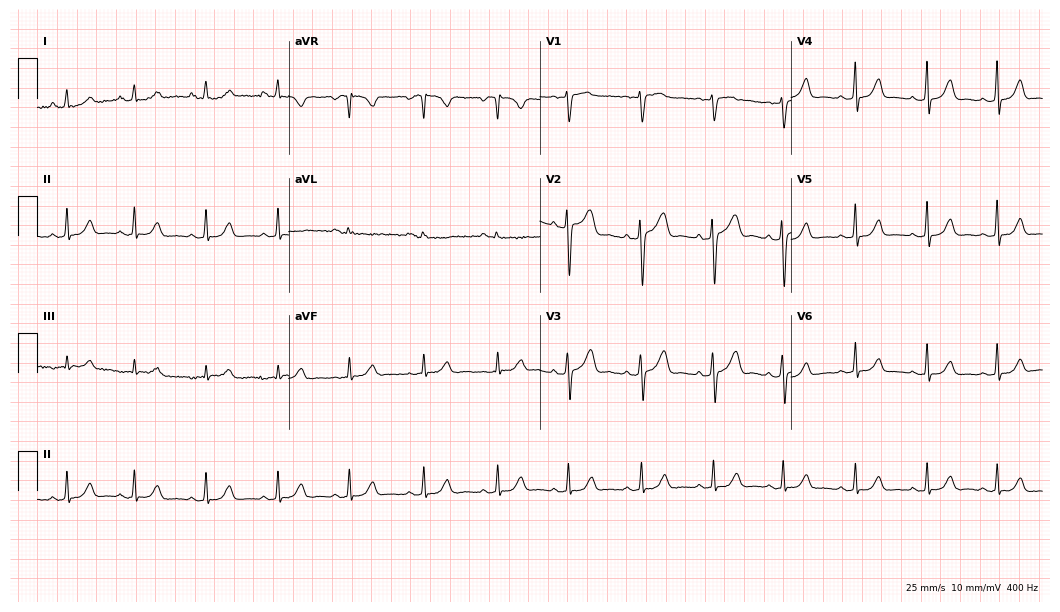
ECG (10.2-second recording at 400 Hz) — a 26-year-old woman. Labelled as a normal ECG.